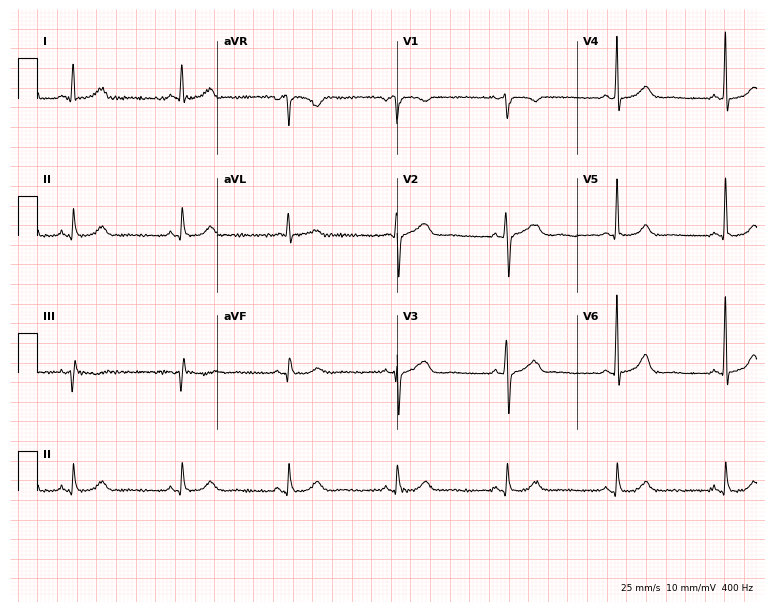
12-lead ECG from a female, 57 years old (7.3-second recording at 400 Hz). Recorded interpretation: within normal limits.